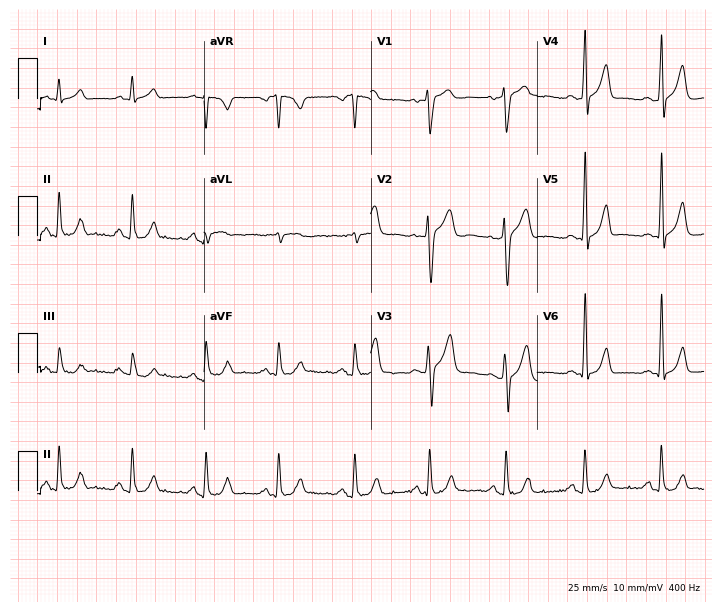
12-lead ECG from a 57-year-old male (6.8-second recording at 400 Hz). No first-degree AV block, right bundle branch block, left bundle branch block, sinus bradycardia, atrial fibrillation or sinus tachycardia recorded for this tracing.